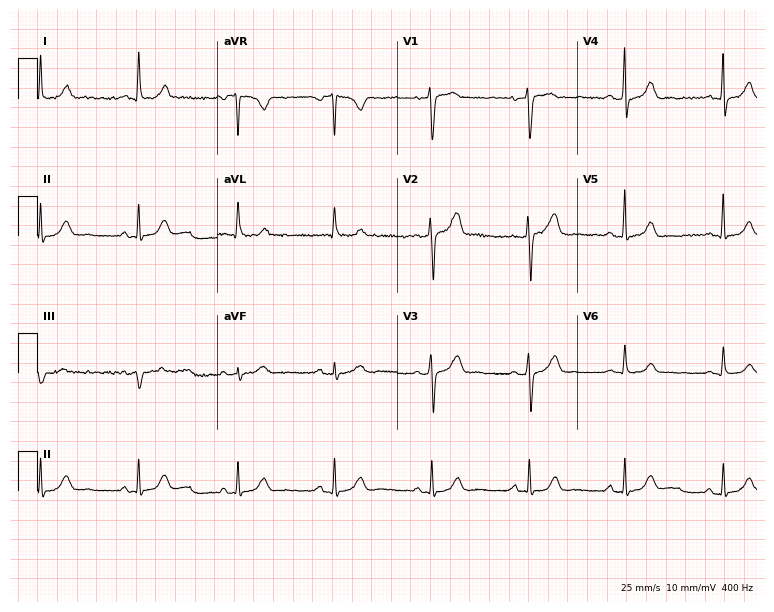
ECG (7.3-second recording at 400 Hz) — a female patient, 63 years old. Labelled as a normal ECG.